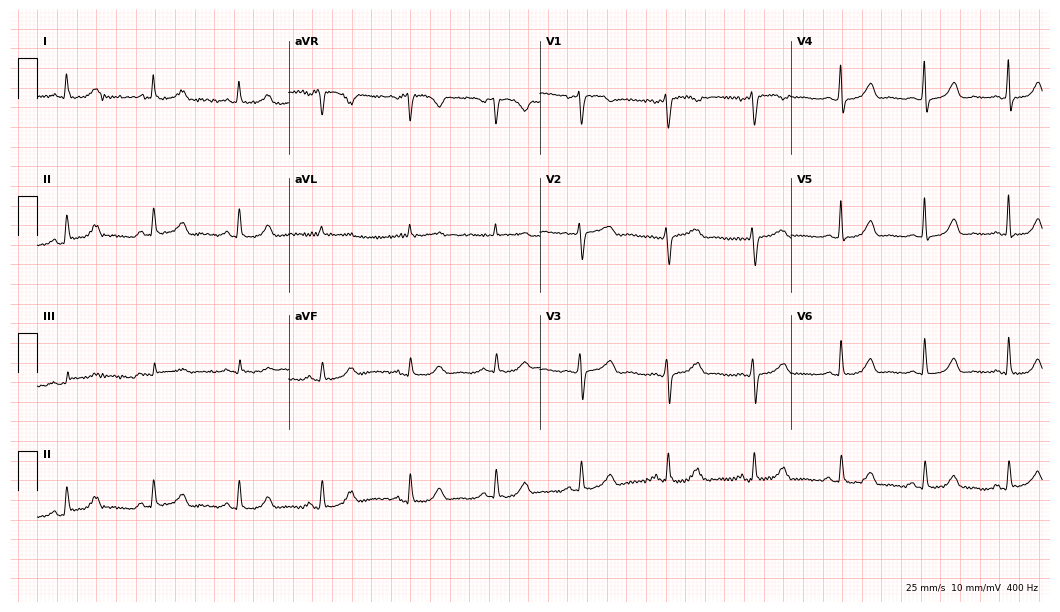
Resting 12-lead electrocardiogram (10.2-second recording at 400 Hz). Patient: a 59-year-old woman. Read as a normal ECG.